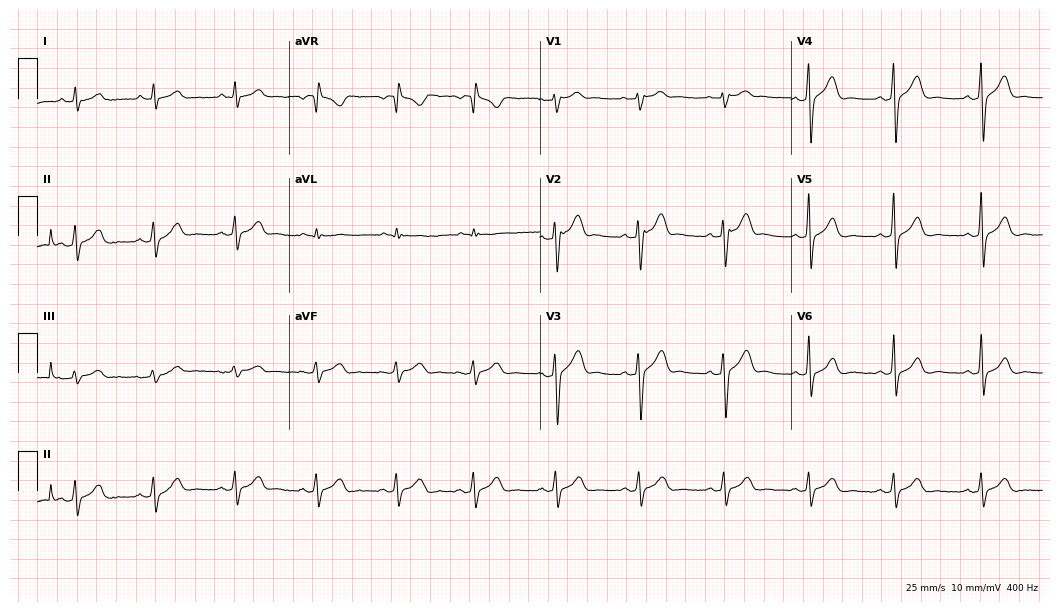
Resting 12-lead electrocardiogram (10.2-second recording at 400 Hz). Patient: a male, 39 years old. Read as a normal ECG.